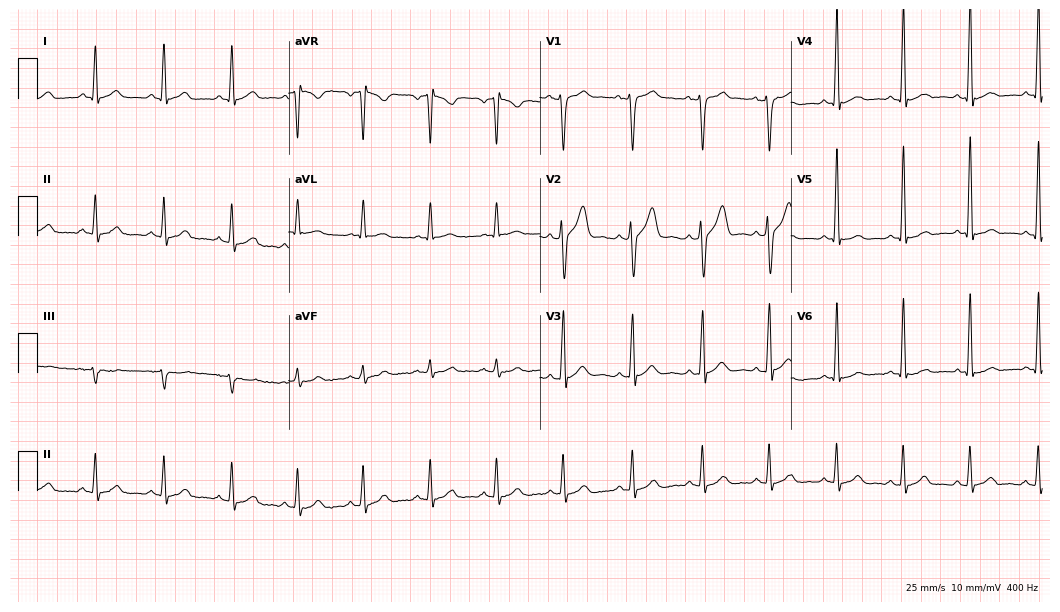
12-lead ECG from a 25-year-old male (10.2-second recording at 400 Hz). Recorded interpretation: within normal limits.